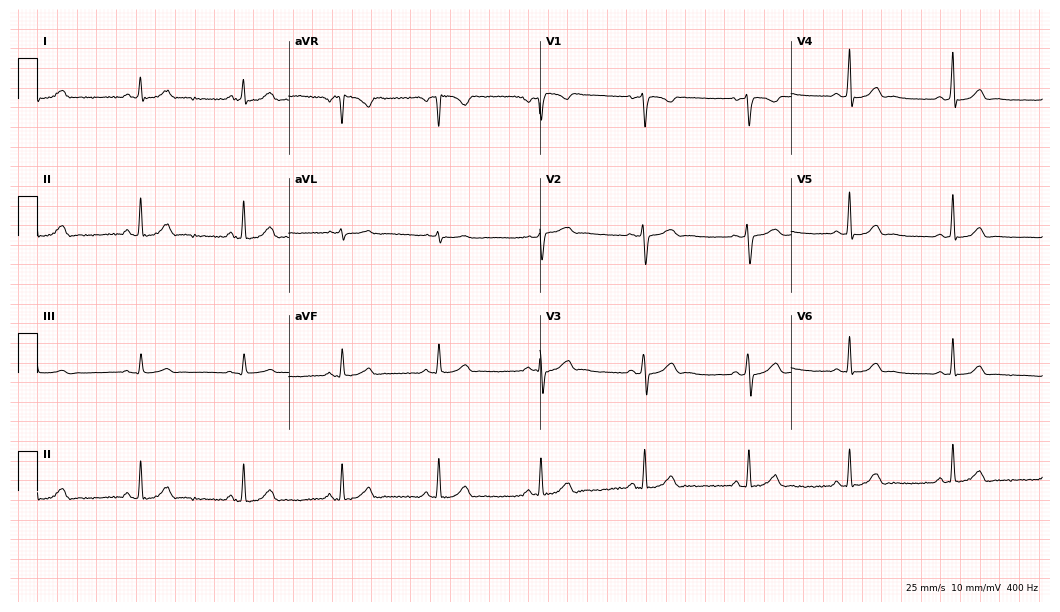
Electrocardiogram (10.2-second recording at 400 Hz), a female patient, 41 years old. Overall reading on record: normal ECG.